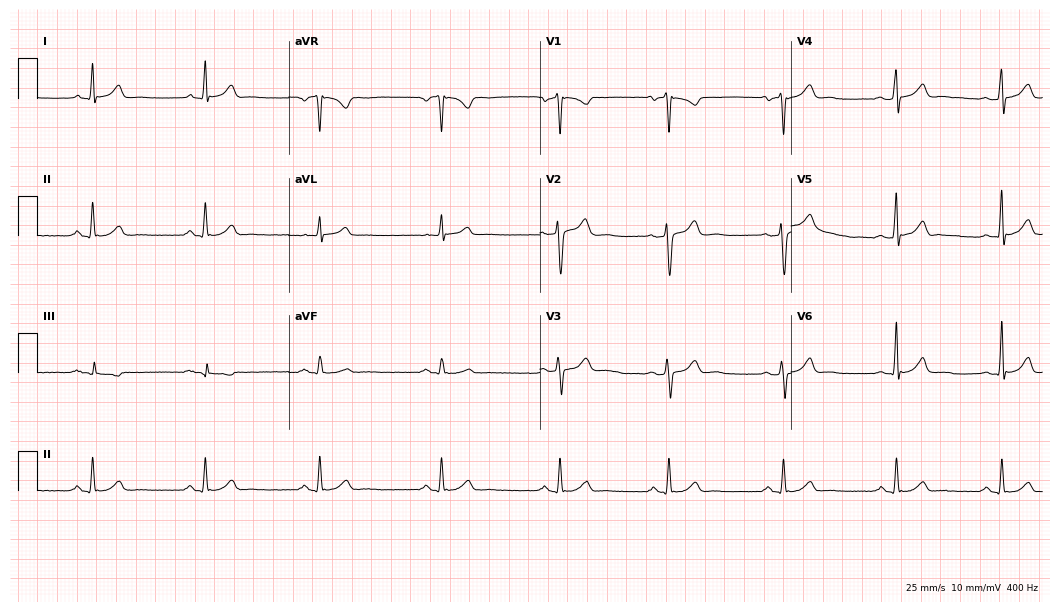
Resting 12-lead electrocardiogram. Patient: a man, 41 years old. None of these six findings is recorded: first-degree AV block, right bundle branch block (RBBB), left bundle branch block (LBBB), sinus bradycardia, atrial fibrillation (AF), sinus tachycardia.